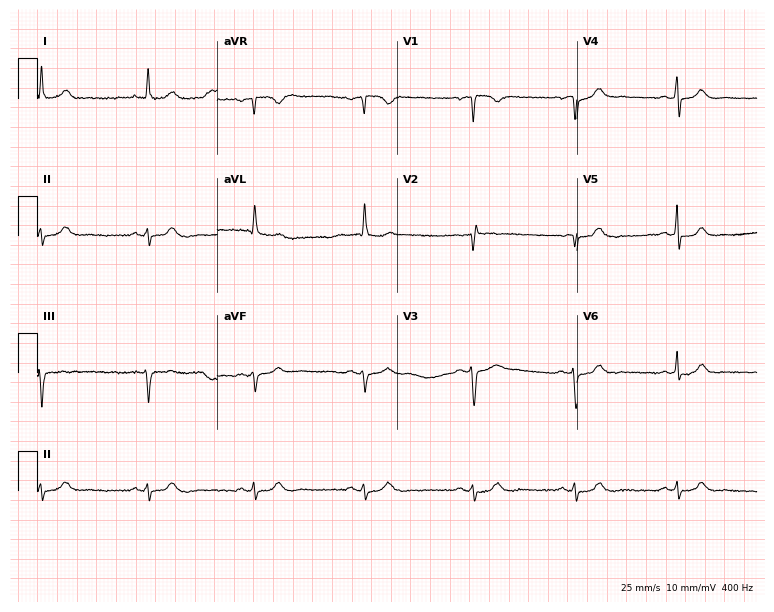
12-lead ECG from a 49-year-old woman (7.3-second recording at 400 Hz). Recorded interpretation: within normal limits.